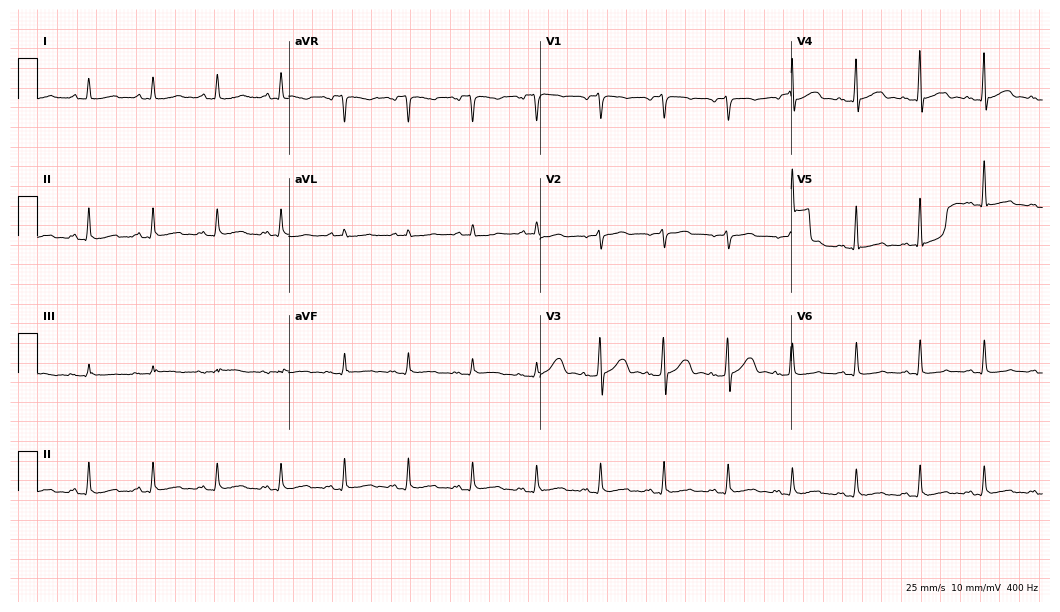
Standard 12-lead ECG recorded from a female, 72 years old (10.2-second recording at 400 Hz). Read as a normal ECG.